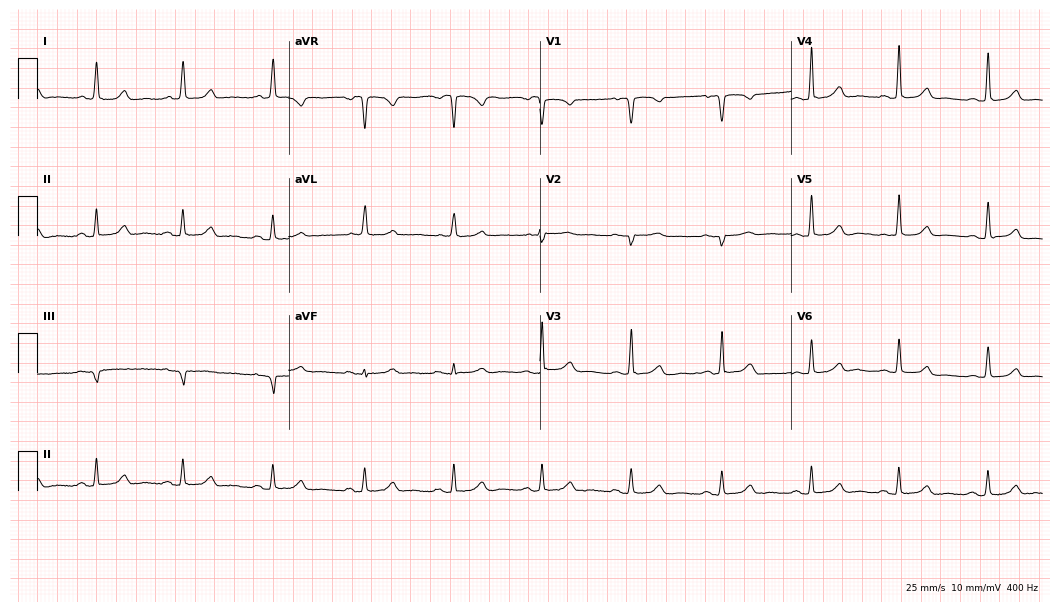
12-lead ECG from a female patient, 61 years old. Recorded interpretation: within normal limits.